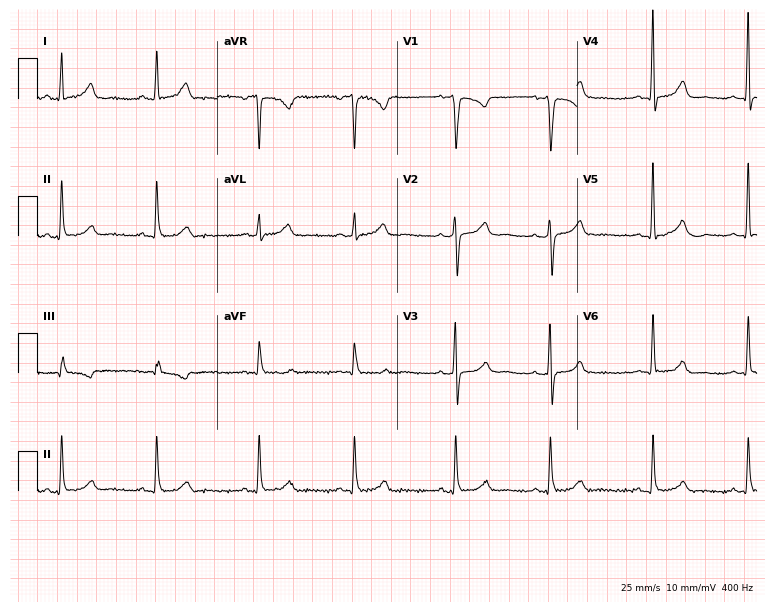
Electrocardiogram (7.3-second recording at 400 Hz), a 45-year-old female. Of the six screened findings (first-degree AV block, right bundle branch block, left bundle branch block, sinus bradycardia, atrial fibrillation, sinus tachycardia), none is recorded.